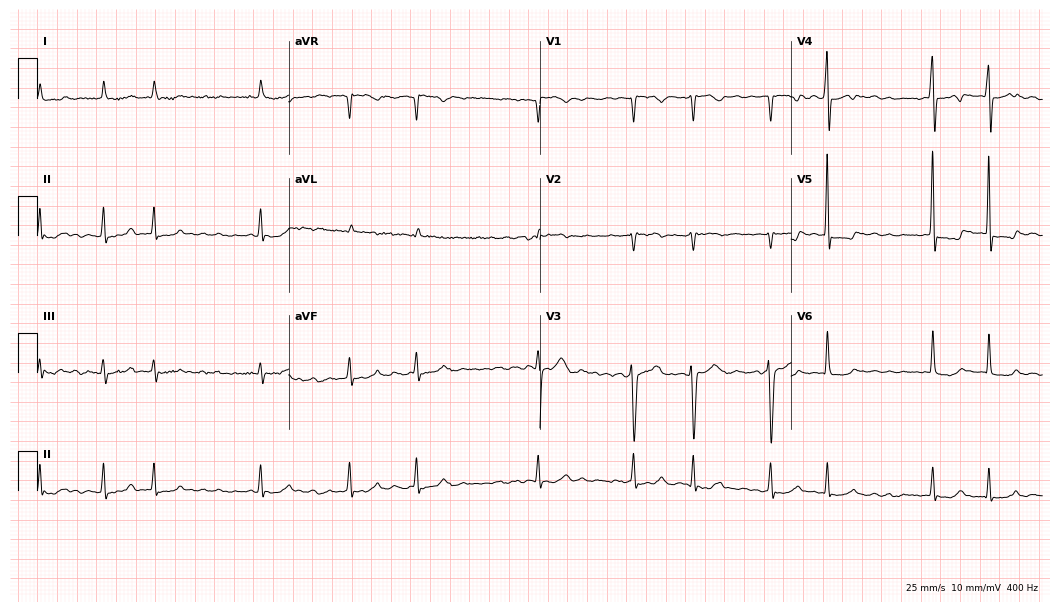
12-lead ECG from a female patient, 63 years old. Shows atrial fibrillation.